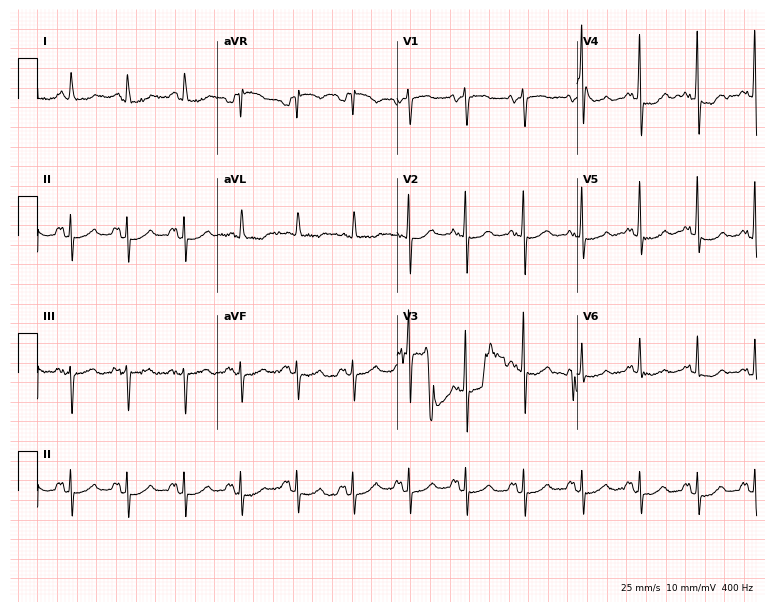
Electrocardiogram, a 64-year-old female patient. Interpretation includes sinus tachycardia (a sinus rate of 100 beats per minute or more).